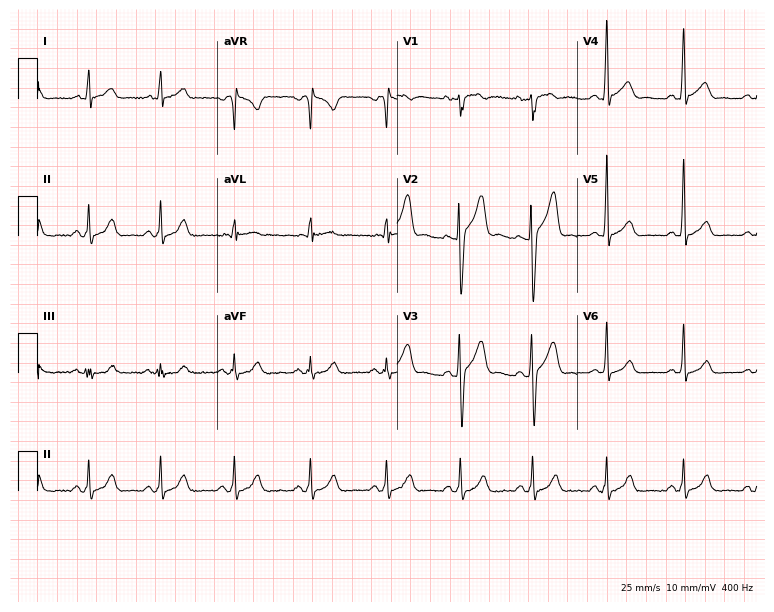
Standard 12-lead ECG recorded from a 23-year-old man. Read as a normal ECG.